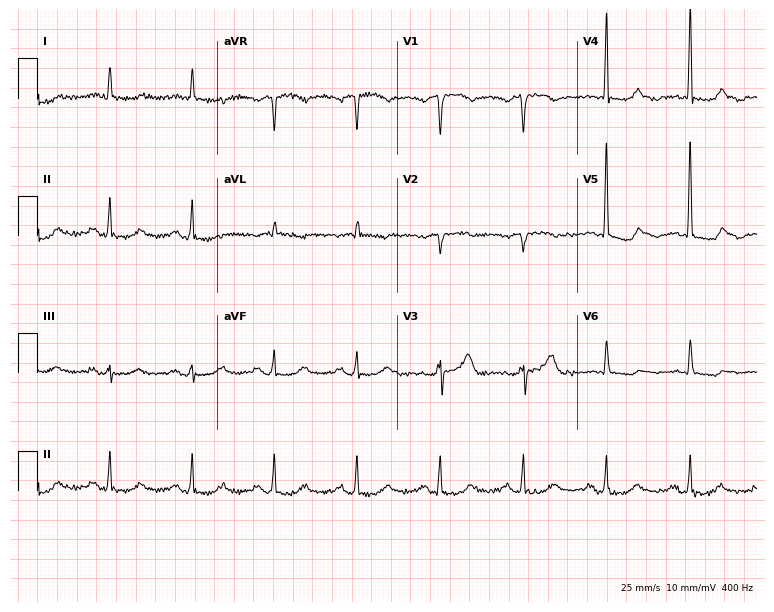
12-lead ECG from a 59-year-old male (7.3-second recording at 400 Hz). No first-degree AV block, right bundle branch block, left bundle branch block, sinus bradycardia, atrial fibrillation or sinus tachycardia recorded for this tracing. Only these six findings were labelled.